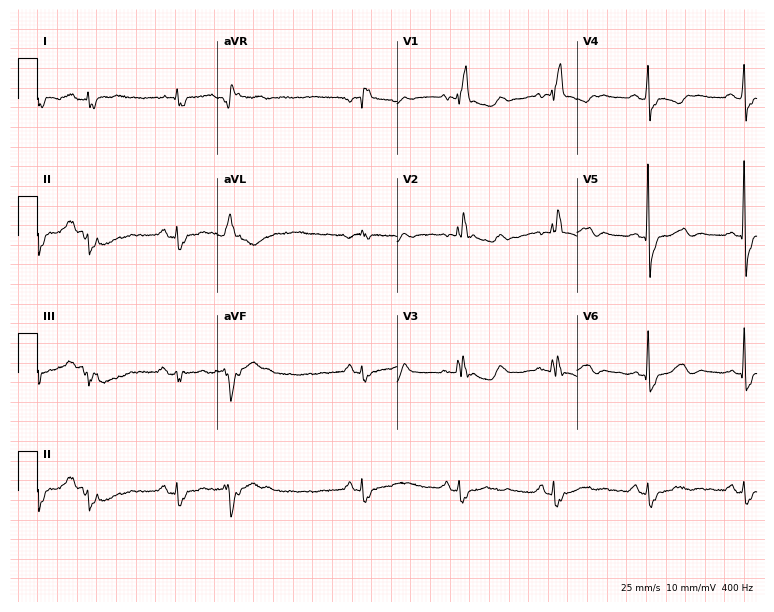
Standard 12-lead ECG recorded from a female patient, 72 years old (7.3-second recording at 400 Hz). The tracing shows right bundle branch block.